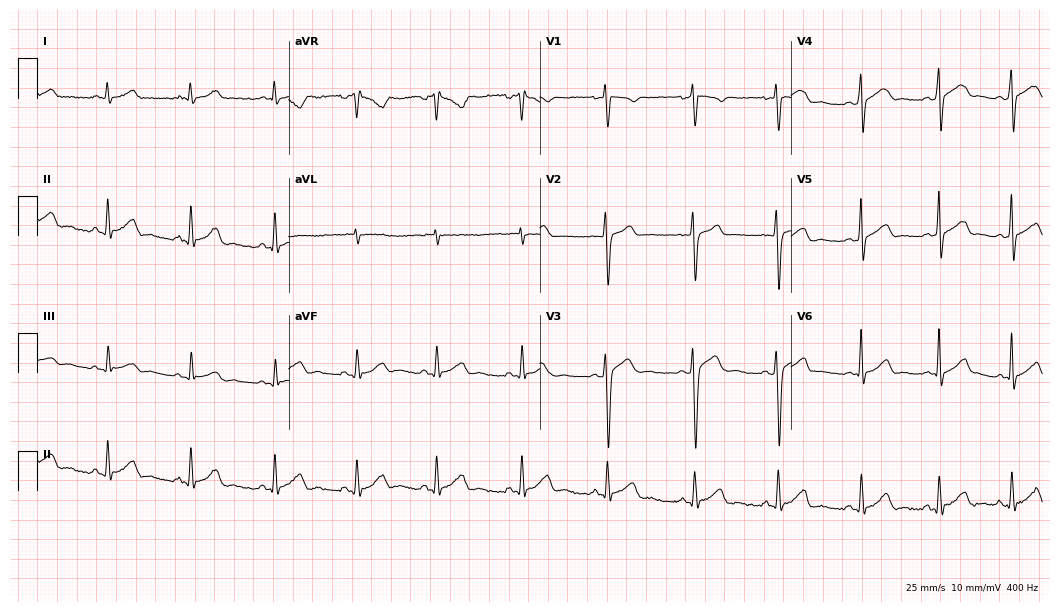
Standard 12-lead ECG recorded from a man, 19 years old (10.2-second recording at 400 Hz). Read as a normal ECG.